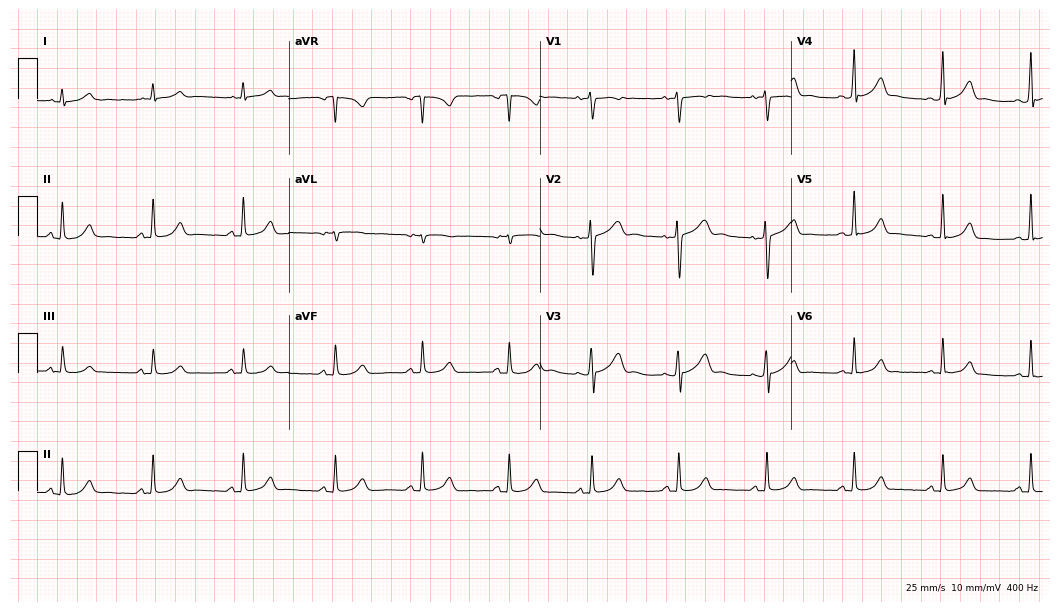
Electrocardiogram, a 20-year-old woman. Overall reading on record: normal ECG.